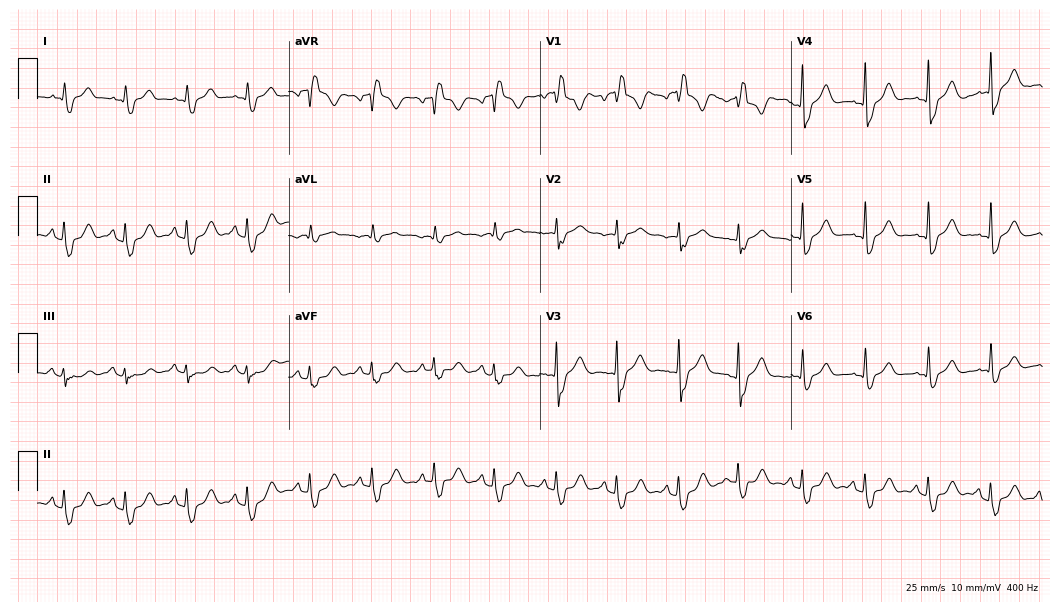
12-lead ECG from a man, 54 years old (10.2-second recording at 400 Hz). Shows right bundle branch block.